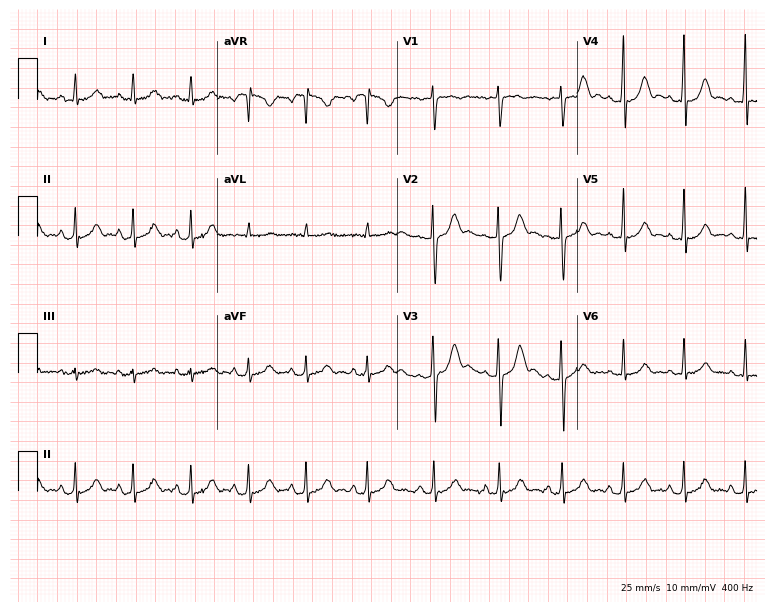
12-lead ECG from a female, 22 years old. Recorded interpretation: within normal limits.